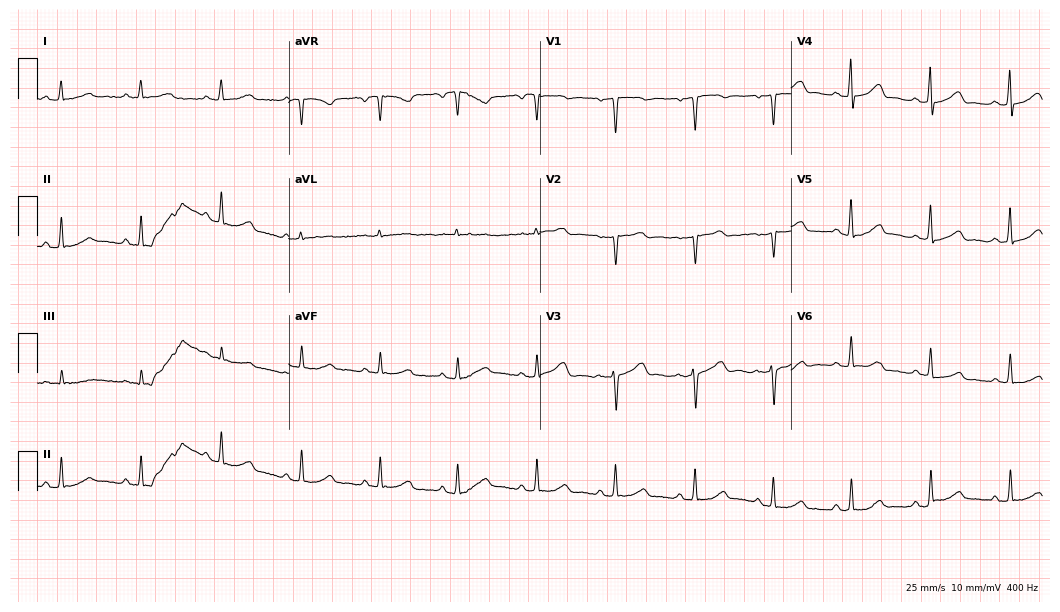
Electrocardiogram (10.2-second recording at 400 Hz), a female, 46 years old. Overall reading on record: normal ECG.